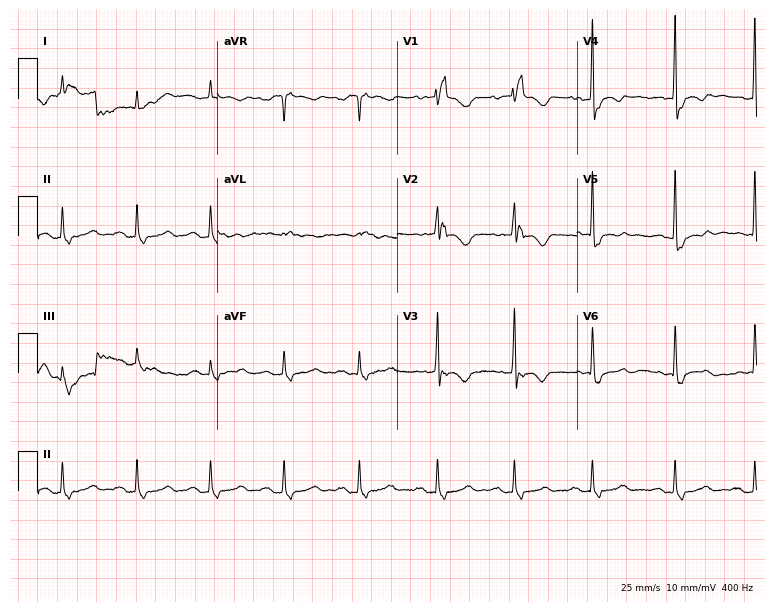
Standard 12-lead ECG recorded from a woman, 83 years old. The tracing shows right bundle branch block.